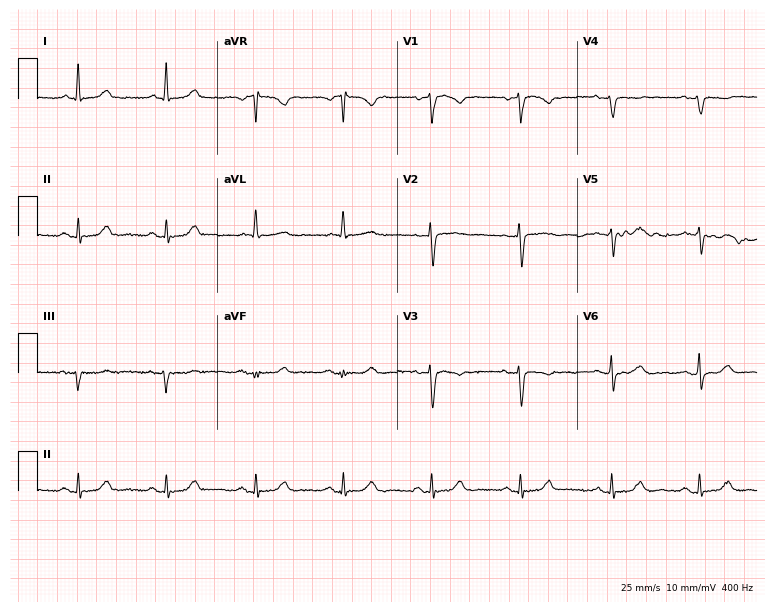
Standard 12-lead ECG recorded from a 75-year-old female patient (7.3-second recording at 400 Hz). Read as a normal ECG.